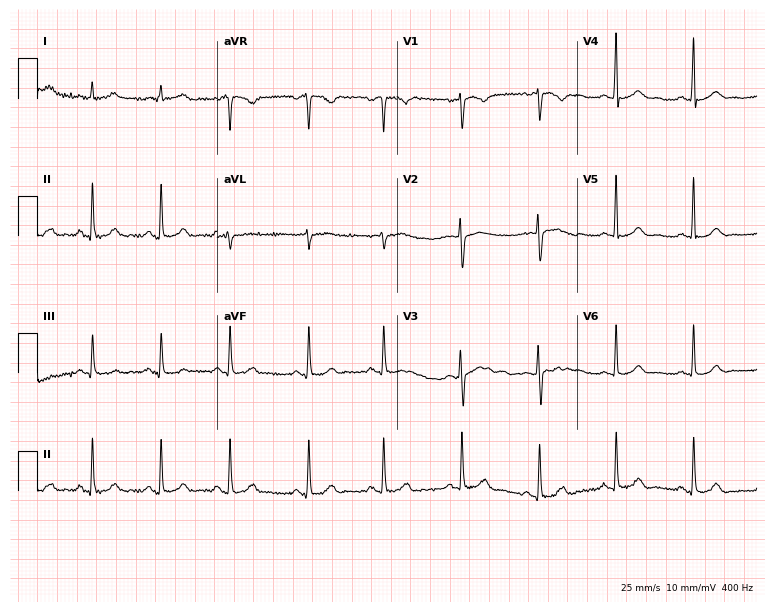
Resting 12-lead electrocardiogram (7.3-second recording at 400 Hz). Patient: a female, 27 years old. Read as a normal ECG.